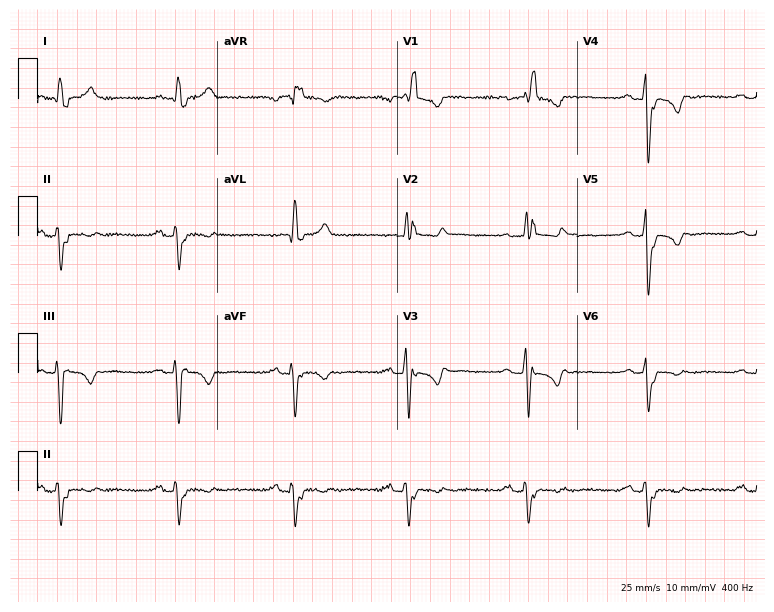
Resting 12-lead electrocardiogram (7.3-second recording at 400 Hz). Patient: a male, 67 years old. The tracing shows right bundle branch block (RBBB).